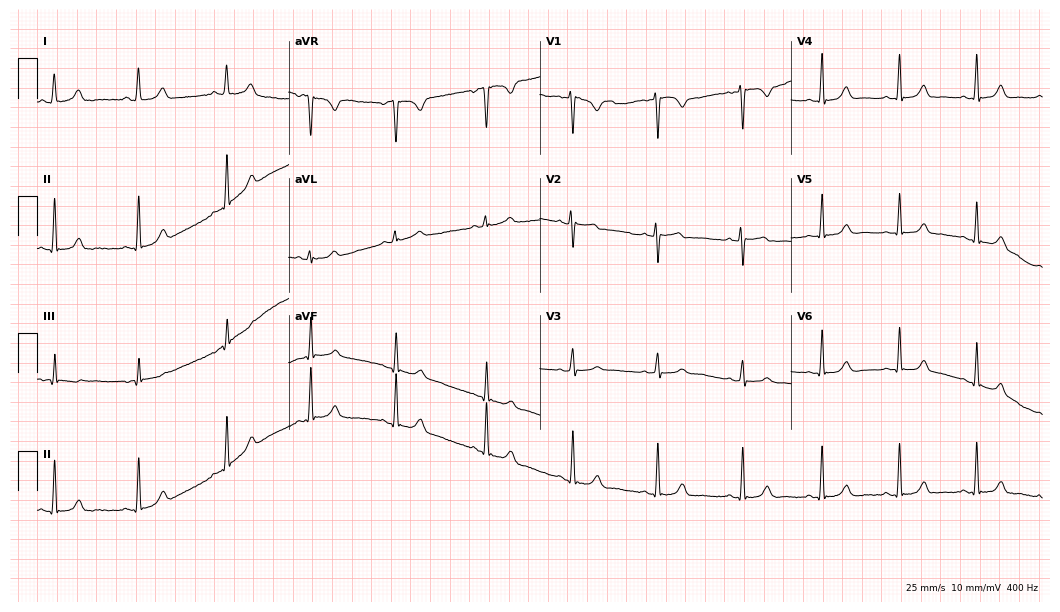
ECG — a female, 30 years old. Screened for six findings — first-degree AV block, right bundle branch block (RBBB), left bundle branch block (LBBB), sinus bradycardia, atrial fibrillation (AF), sinus tachycardia — none is recorded. Other findings, if any, are not listed.